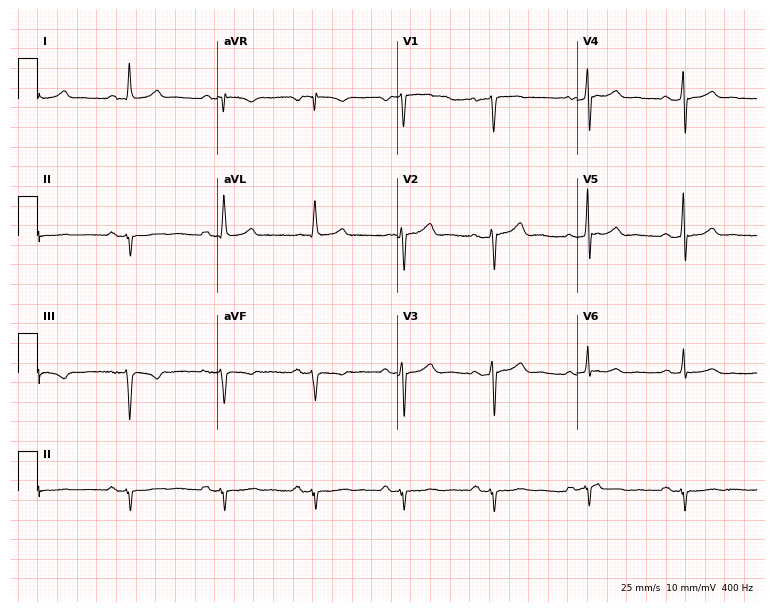
Standard 12-lead ECG recorded from a 59-year-old male patient (7.3-second recording at 400 Hz). None of these six findings is recorded: first-degree AV block, right bundle branch block, left bundle branch block, sinus bradycardia, atrial fibrillation, sinus tachycardia.